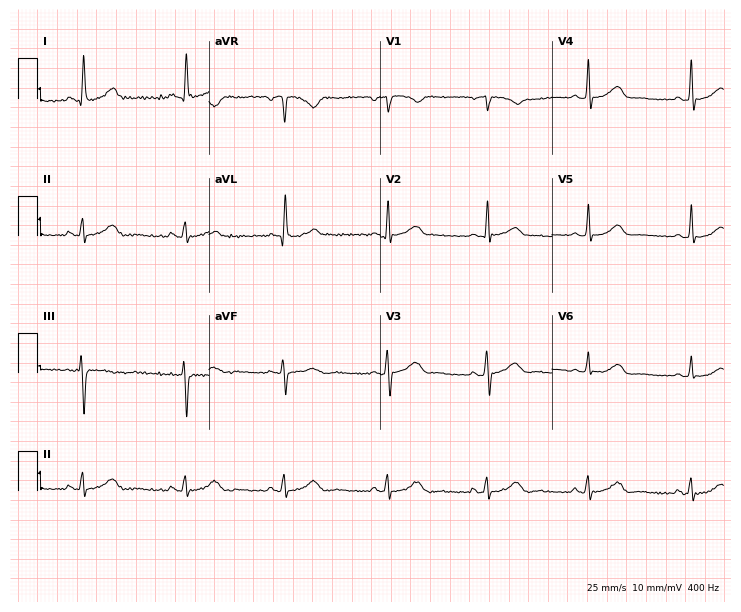
12-lead ECG (7-second recording at 400 Hz) from a 61-year-old female. Labelled as a normal ECG.